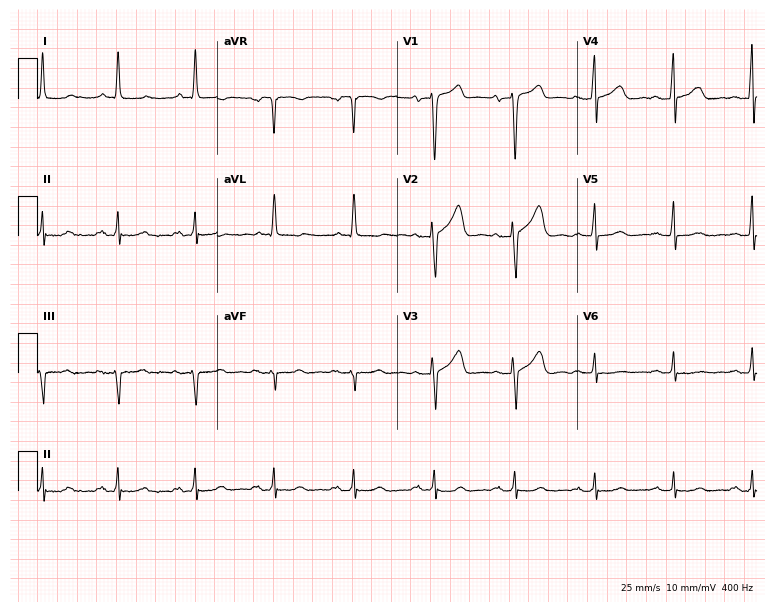
12-lead ECG (7.3-second recording at 400 Hz) from a 64-year-old man. Screened for six findings — first-degree AV block, right bundle branch block (RBBB), left bundle branch block (LBBB), sinus bradycardia, atrial fibrillation (AF), sinus tachycardia — none is recorded.